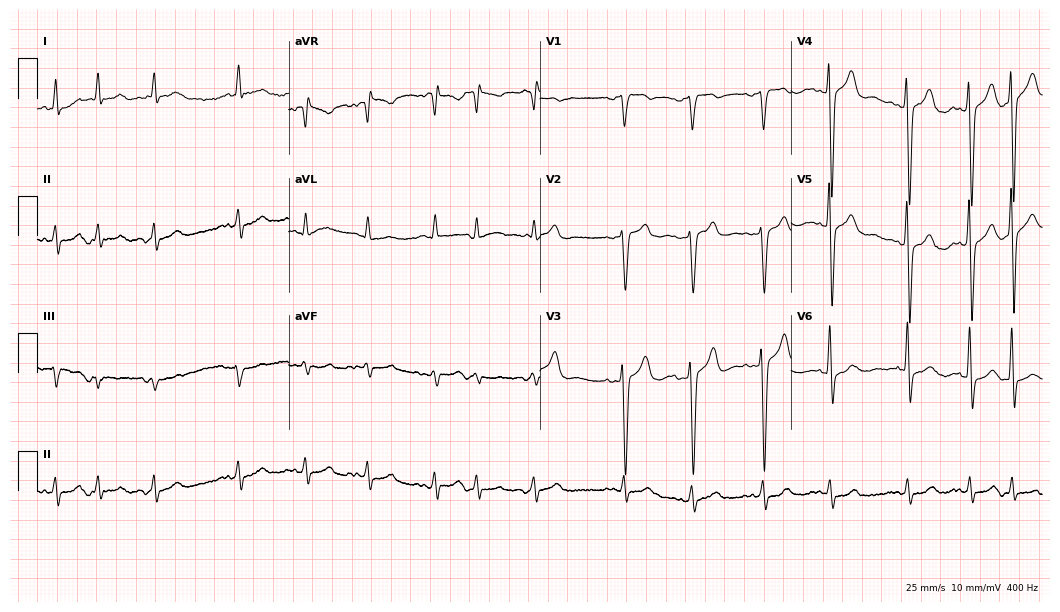
ECG (10.2-second recording at 400 Hz) — an 84-year-old man. Screened for six findings — first-degree AV block, right bundle branch block, left bundle branch block, sinus bradycardia, atrial fibrillation, sinus tachycardia — none is recorded. Other findings, if any, are not listed.